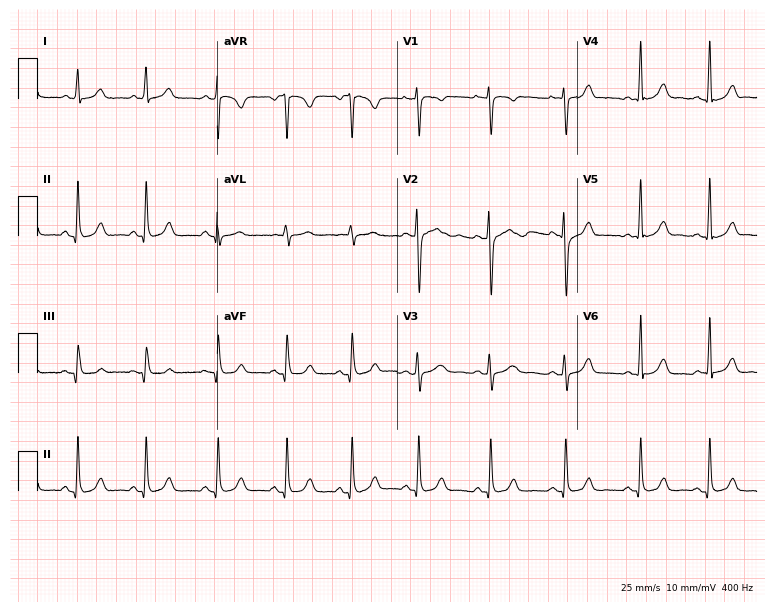
ECG — a woman, 24 years old. Labelled as a normal ECG.